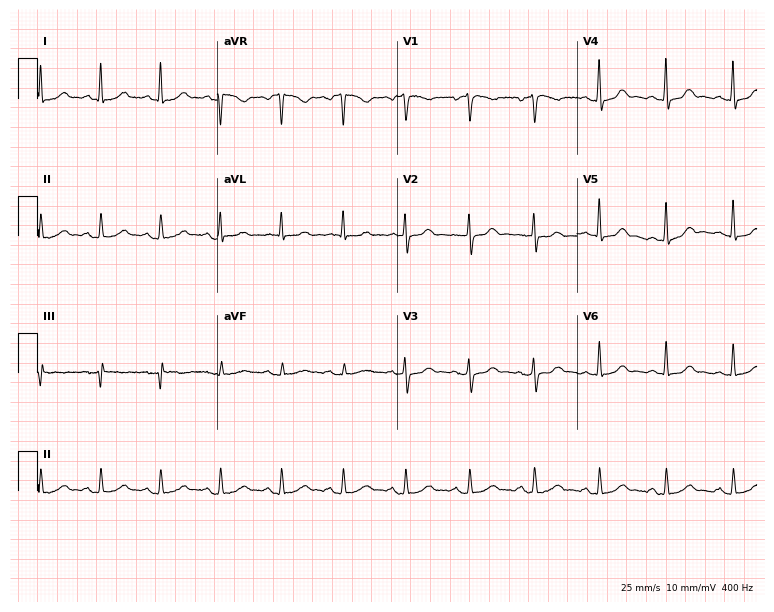
Standard 12-lead ECG recorded from a 58-year-old woman. Read as a normal ECG.